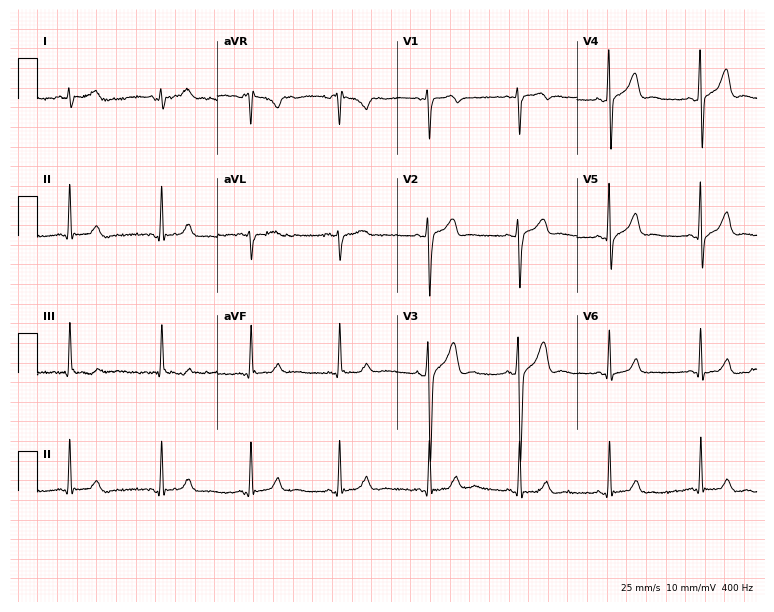
12-lead ECG from a male, 26 years old. Recorded interpretation: within normal limits.